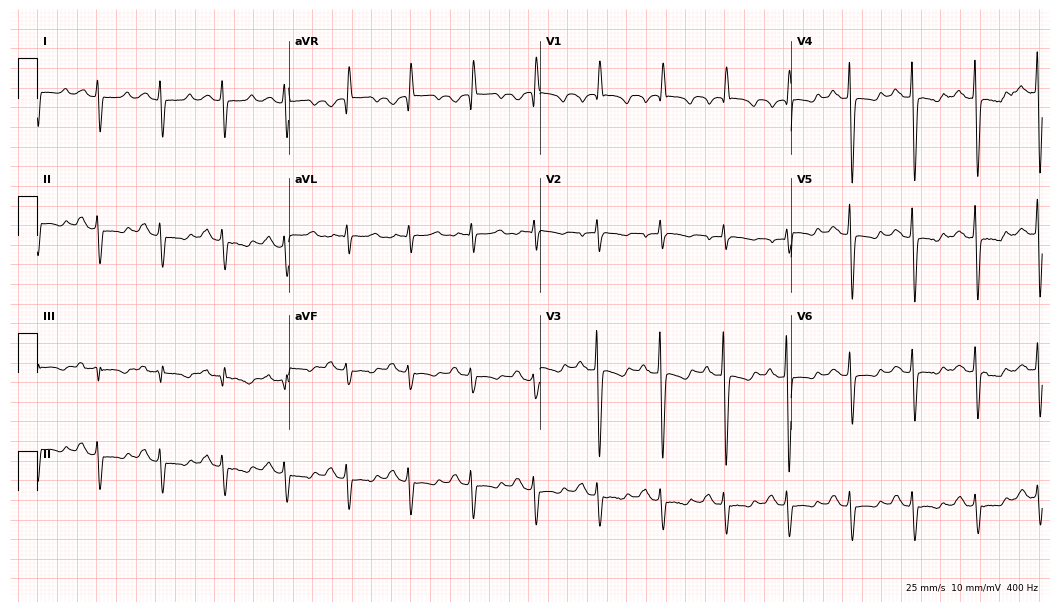
12-lead ECG from a male patient, 46 years old. No first-degree AV block, right bundle branch block (RBBB), left bundle branch block (LBBB), sinus bradycardia, atrial fibrillation (AF) or sinus tachycardia recorded for this tracing. Findings outside these six are not listed.